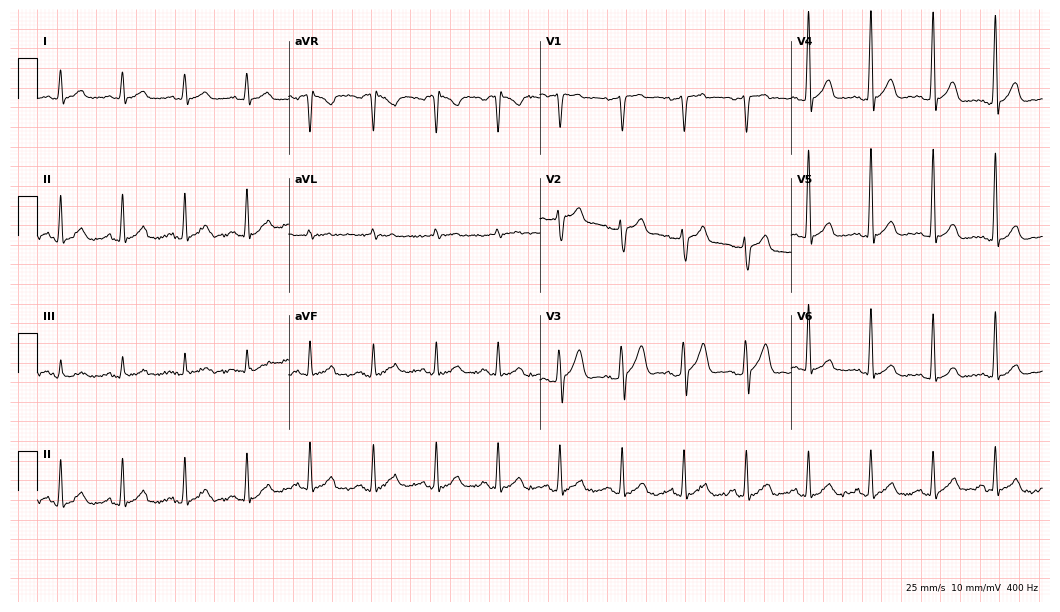
12-lead ECG from a man, 48 years old. Recorded interpretation: within normal limits.